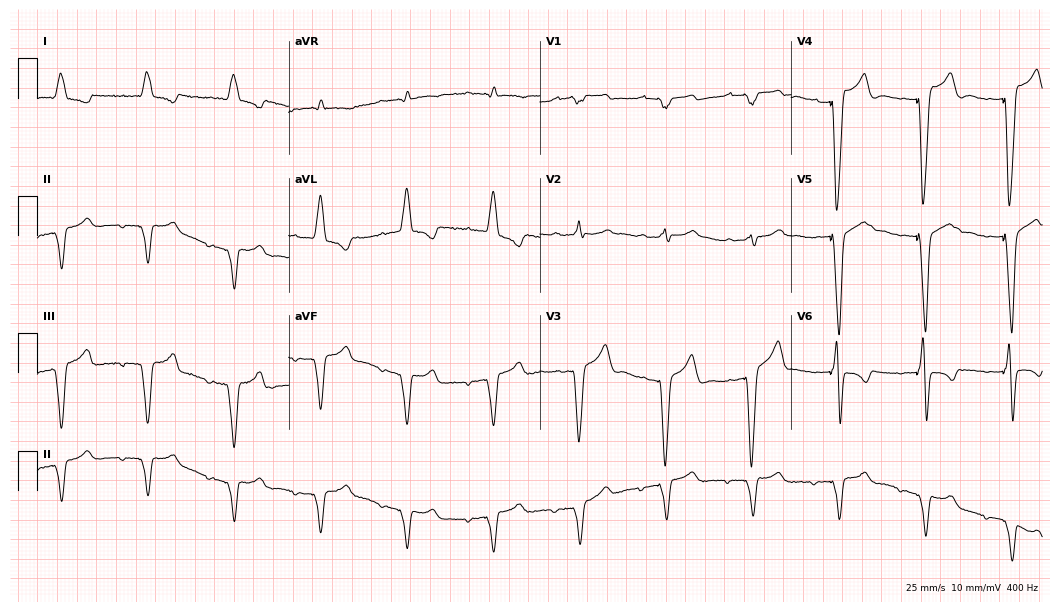
Electrocardiogram, a man, 76 years old. Of the six screened findings (first-degree AV block, right bundle branch block (RBBB), left bundle branch block (LBBB), sinus bradycardia, atrial fibrillation (AF), sinus tachycardia), none is recorded.